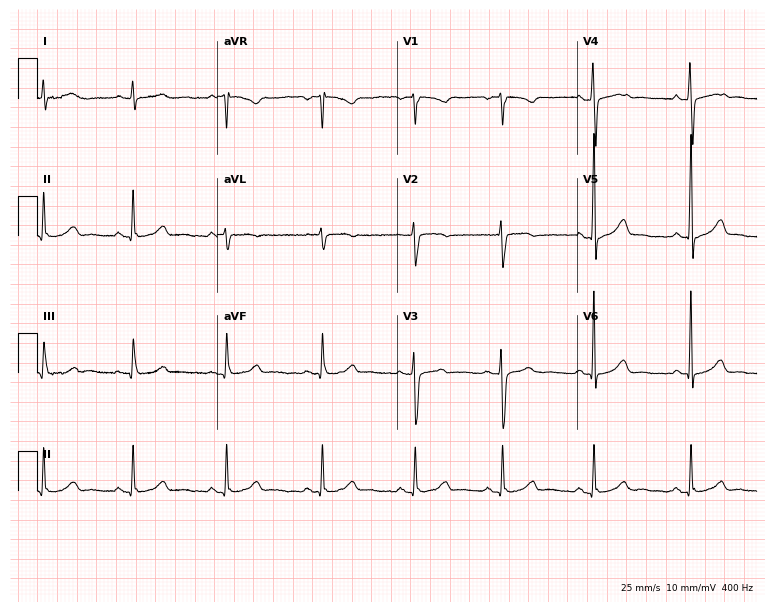
Resting 12-lead electrocardiogram (7.3-second recording at 400 Hz). Patient: a female, 23 years old. Read as a normal ECG.